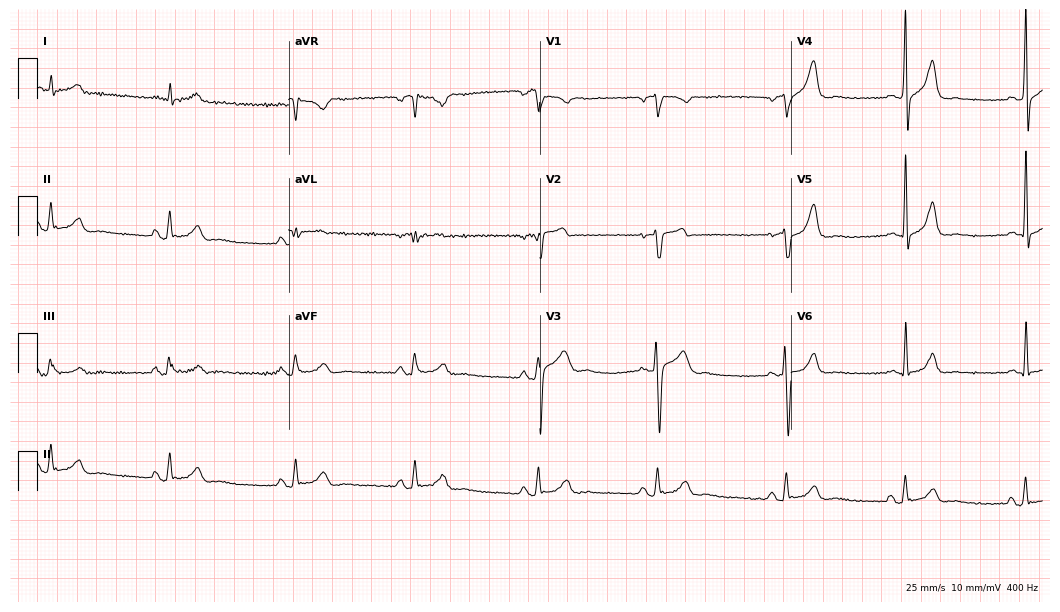
ECG (10.2-second recording at 400 Hz) — a male patient, 58 years old. Findings include sinus bradycardia (a sinus rate of 50 beats per minute or less).